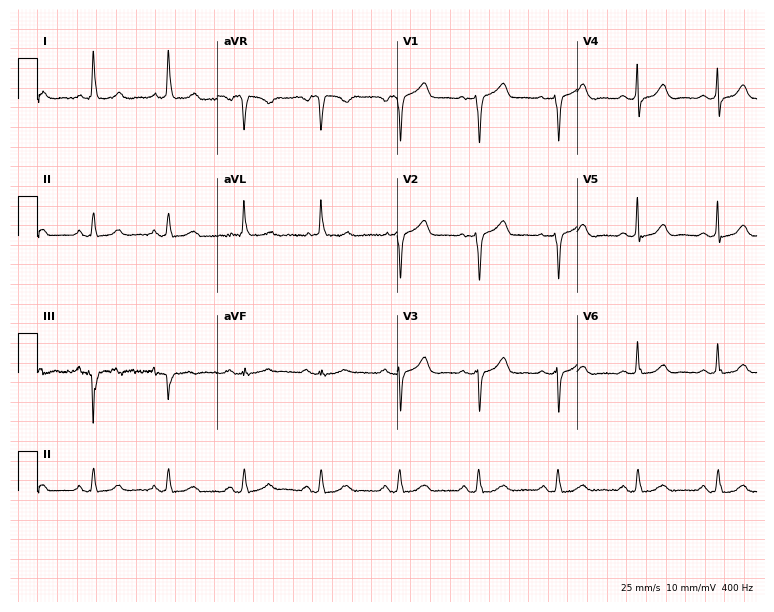
Standard 12-lead ECG recorded from a 73-year-old female patient. None of these six findings is recorded: first-degree AV block, right bundle branch block (RBBB), left bundle branch block (LBBB), sinus bradycardia, atrial fibrillation (AF), sinus tachycardia.